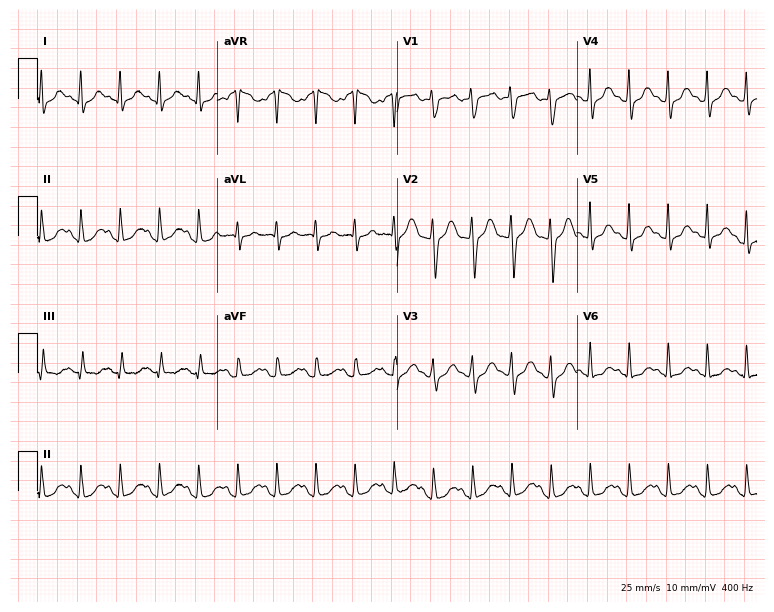
Resting 12-lead electrocardiogram (7.3-second recording at 400 Hz). Patient: a 34-year-old woman. The tracing shows sinus tachycardia (a sinus rate of 100 beats per minute or more).